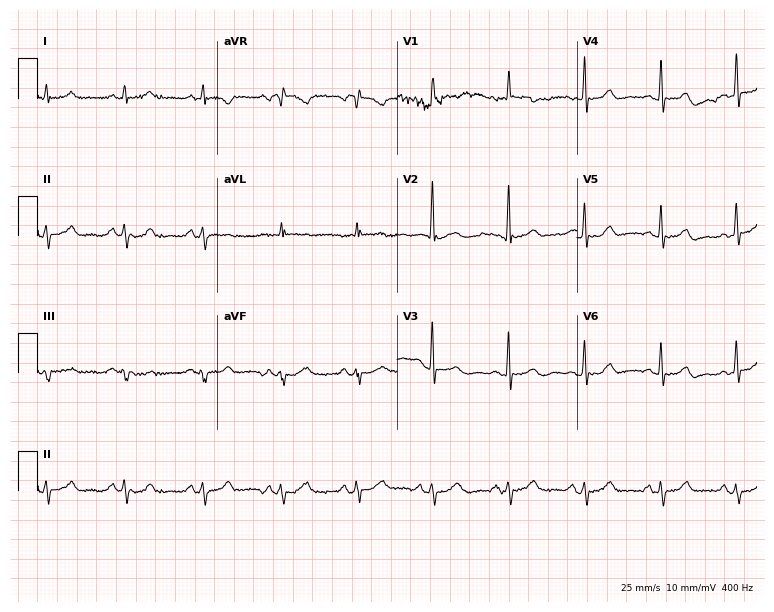
Electrocardiogram (7.3-second recording at 400 Hz), a 76-year-old female patient. Of the six screened findings (first-degree AV block, right bundle branch block, left bundle branch block, sinus bradycardia, atrial fibrillation, sinus tachycardia), none is recorded.